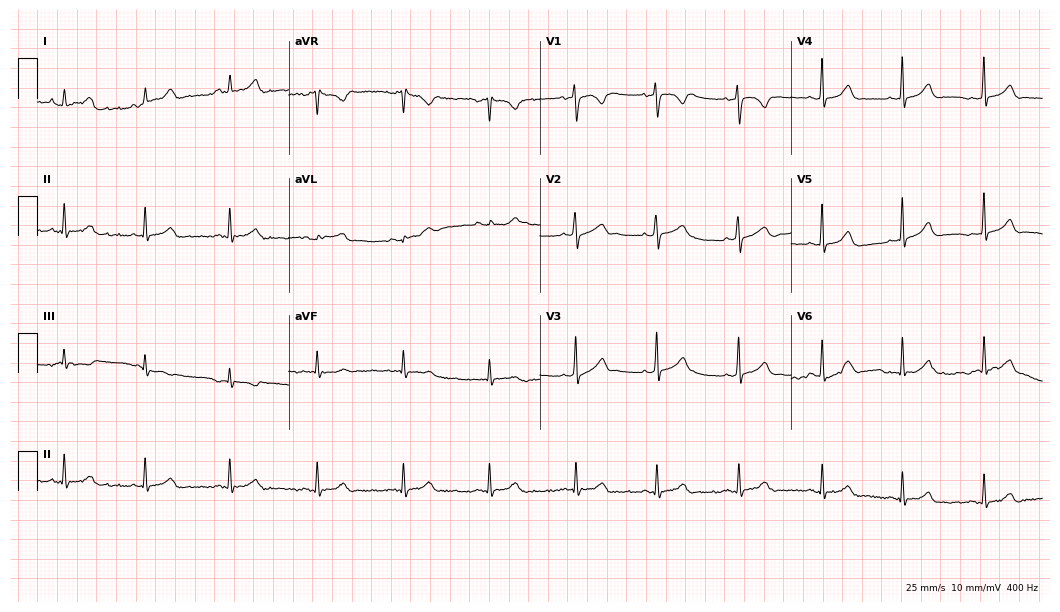
ECG (10.2-second recording at 400 Hz) — a 30-year-old female patient. Labelled as a normal ECG.